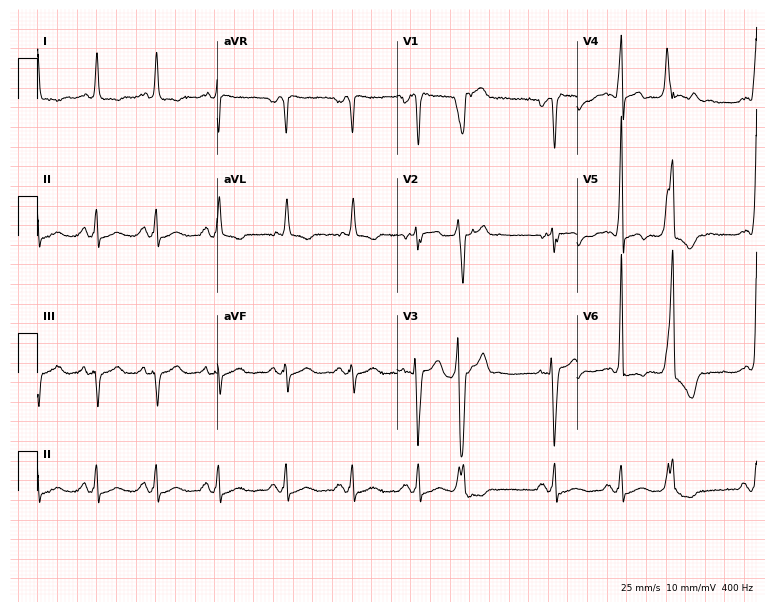
12-lead ECG from a male, 71 years old. No first-degree AV block, right bundle branch block, left bundle branch block, sinus bradycardia, atrial fibrillation or sinus tachycardia recorded for this tracing. Findings outside these six are not listed.